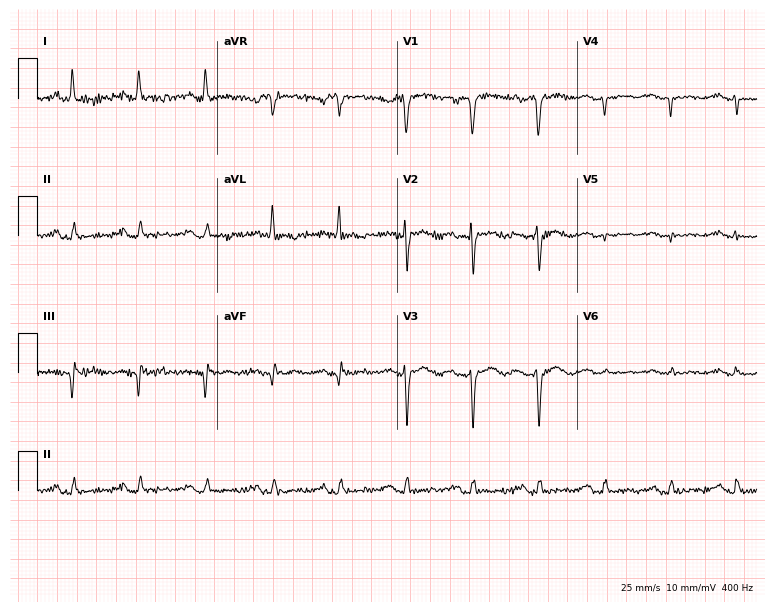
Resting 12-lead electrocardiogram. Patient: a 57-year-old female. None of these six findings is recorded: first-degree AV block, right bundle branch block, left bundle branch block, sinus bradycardia, atrial fibrillation, sinus tachycardia. Other findings, if any, are not listed.